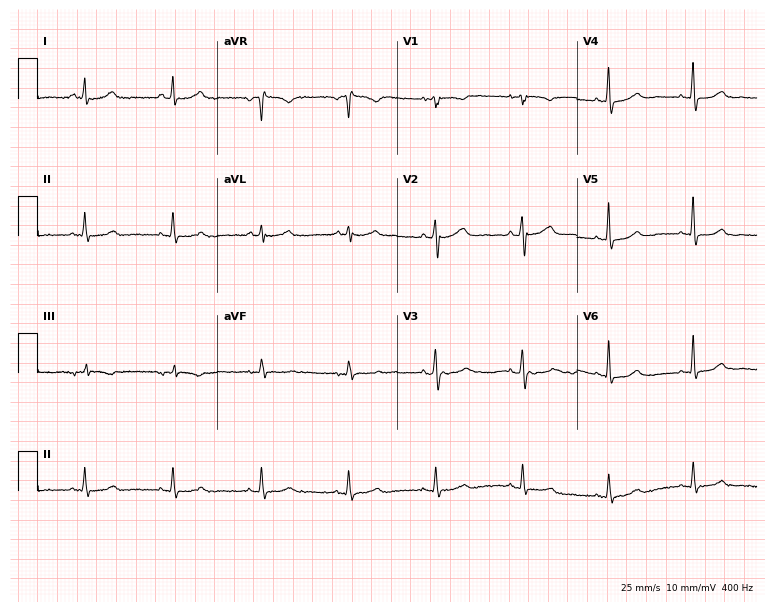
Standard 12-lead ECG recorded from a female patient, 53 years old (7.3-second recording at 400 Hz). None of these six findings is recorded: first-degree AV block, right bundle branch block, left bundle branch block, sinus bradycardia, atrial fibrillation, sinus tachycardia. Findings outside these six are not listed.